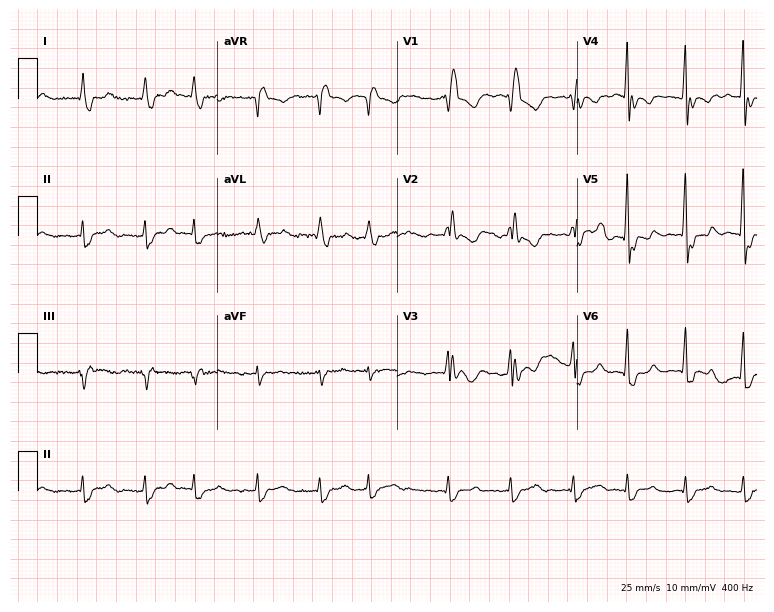
ECG (7.3-second recording at 400 Hz) — a male patient, 60 years old. Findings include right bundle branch block, atrial fibrillation.